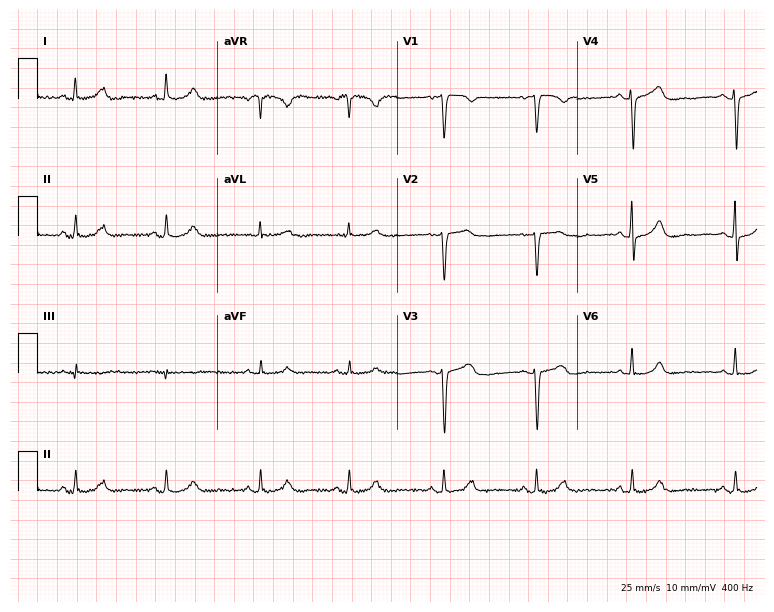
ECG (7.3-second recording at 400 Hz) — a 35-year-old female. Screened for six findings — first-degree AV block, right bundle branch block, left bundle branch block, sinus bradycardia, atrial fibrillation, sinus tachycardia — none is recorded. Findings outside these six are not listed.